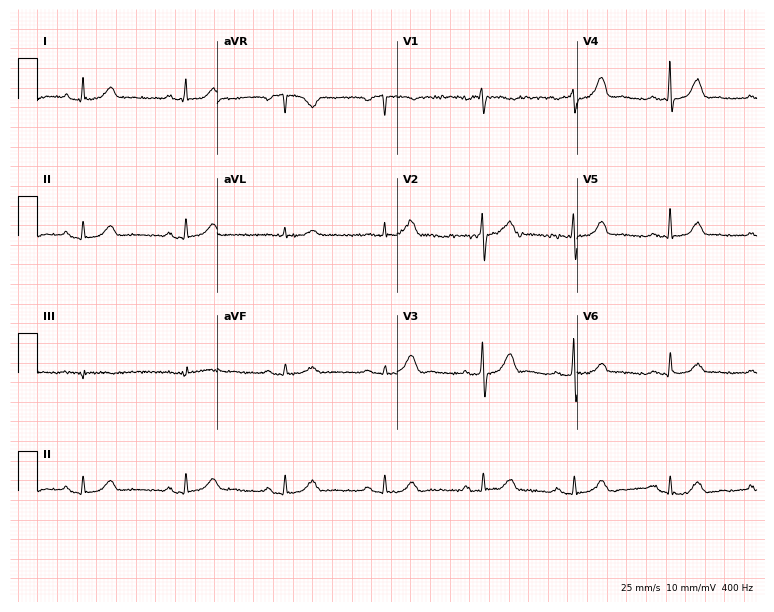
Electrocardiogram (7.3-second recording at 400 Hz), a female patient, 68 years old. Overall reading on record: normal ECG.